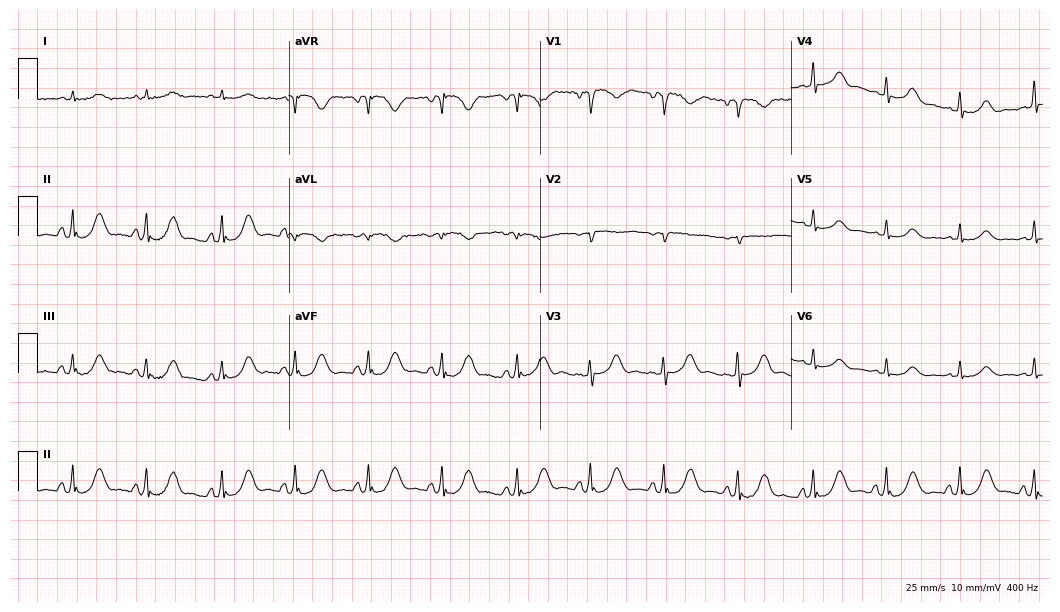
Standard 12-lead ECG recorded from an 83-year-old male (10.2-second recording at 400 Hz). Read as a normal ECG.